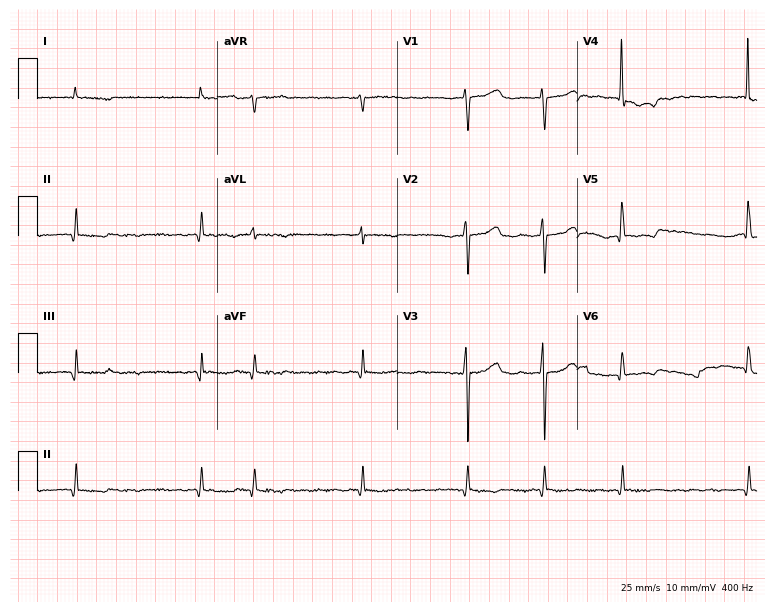
12-lead ECG from an 81-year-old man. Shows atrial fibrillation.